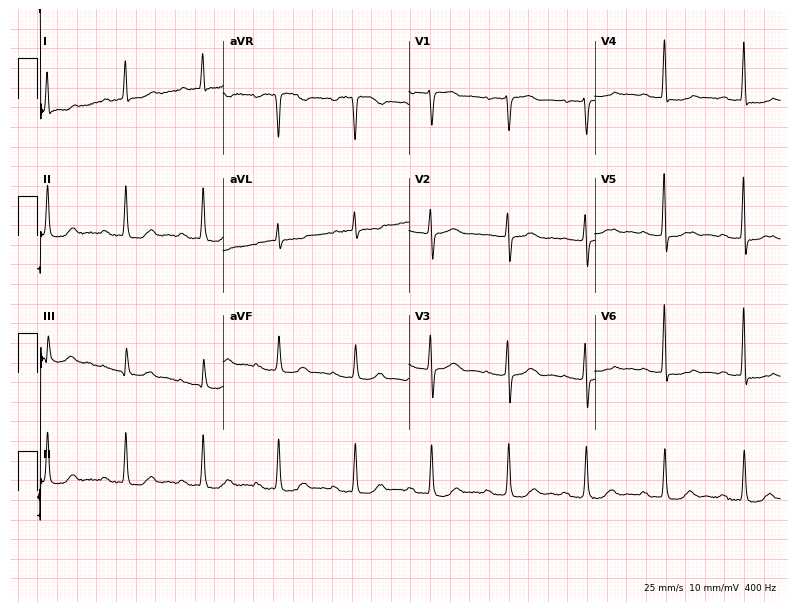
Resting 12-lead electrocardiogram (7.6-second recording at 400 Hz). Patient: a 76-year-old woman. None of these six findings is recorded: first-degree AV block, right bundle branch block, left bundle branch block, sinus bradycardia, atrial fibrillation, sinus tachycardia.